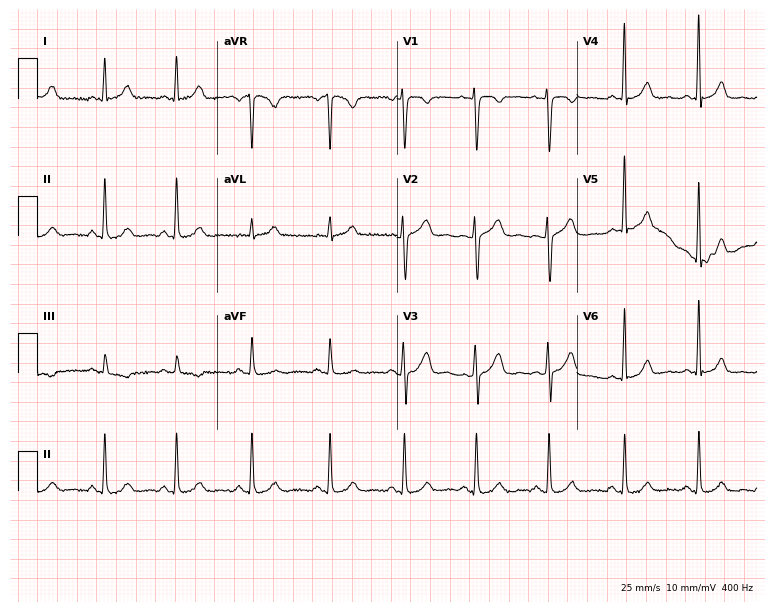
12-lead ECG from a female, 38 years old. Screened for six findings — first-degree AV block, right bundle branch block, left bundle branch block, sinus bradycardia, atrial fibrillation, sinus tachycardia — none is recorded.